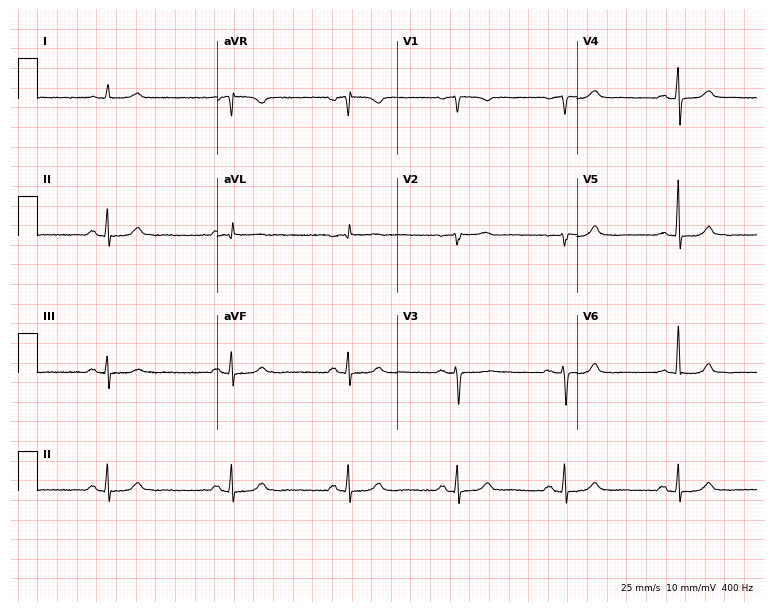
Standard 12-lead ECG recorded from a female, 62 years old (7.3-second recording at 400 Hz). None of these six findings is recorded: first-degree AV block, right bundle branch block, left bundle branch block, sinus bradycardia, atrial fibrillation, sinus tachycardia.